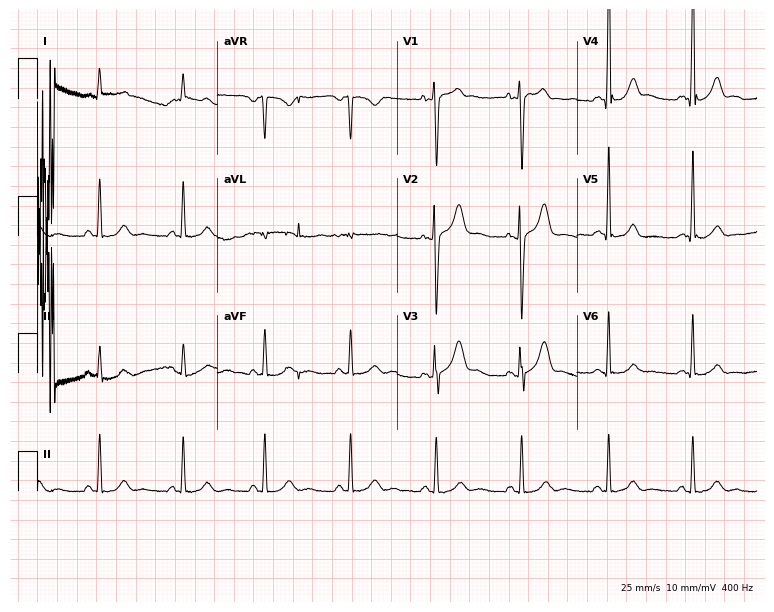
Electrocardiogram (7.3-second recording at 400 Hz), a 24-year-old male. Overall reading on record: normal ECG.